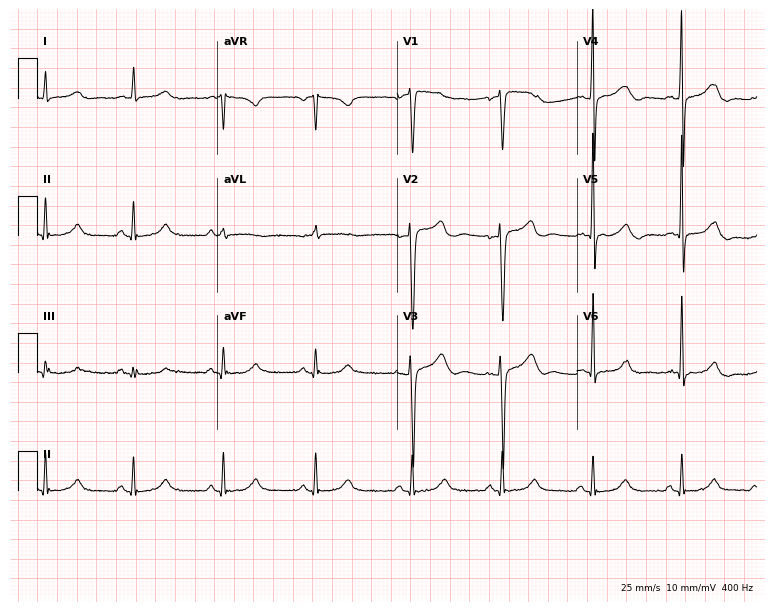
12-lead ECG from a female, 54 years old. Labelled as a normal ECG.